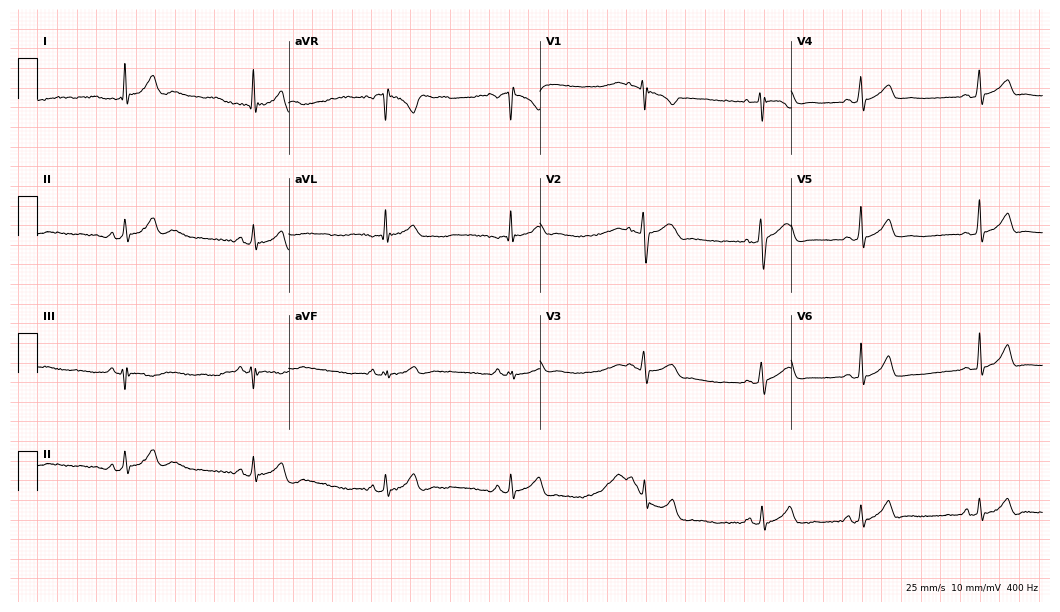
Electrocardiogram, a 29-year-old male. Interpretation includes sinus bradycardia (a sinus rate of 50 beats per minute or less).